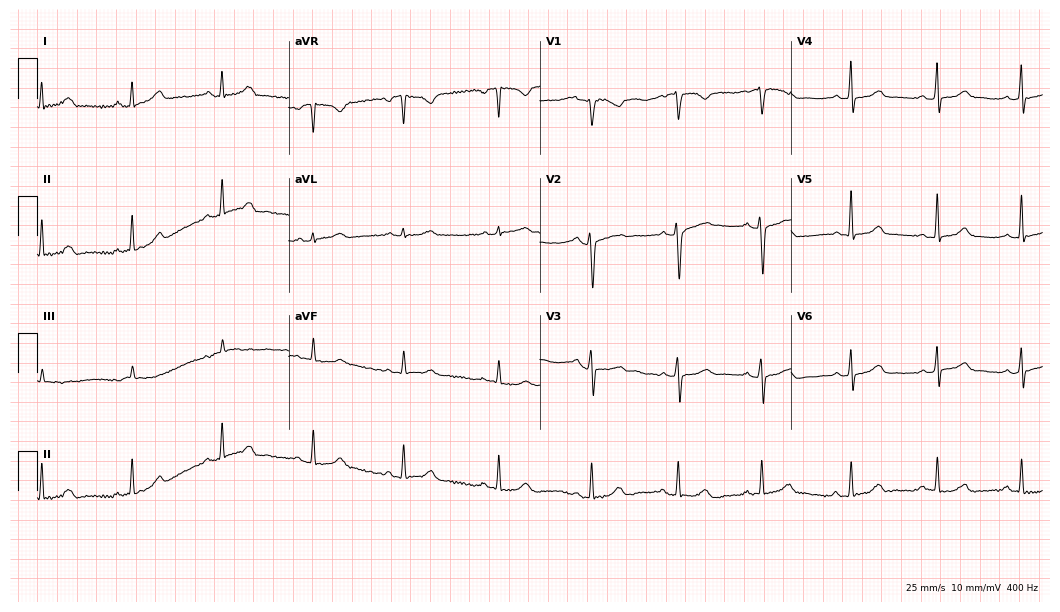
Resting 12-lead electrocardiogram (10.2-second recording at 400 Hz). Patient: a 33-year-old female. Read as a normal ECG.